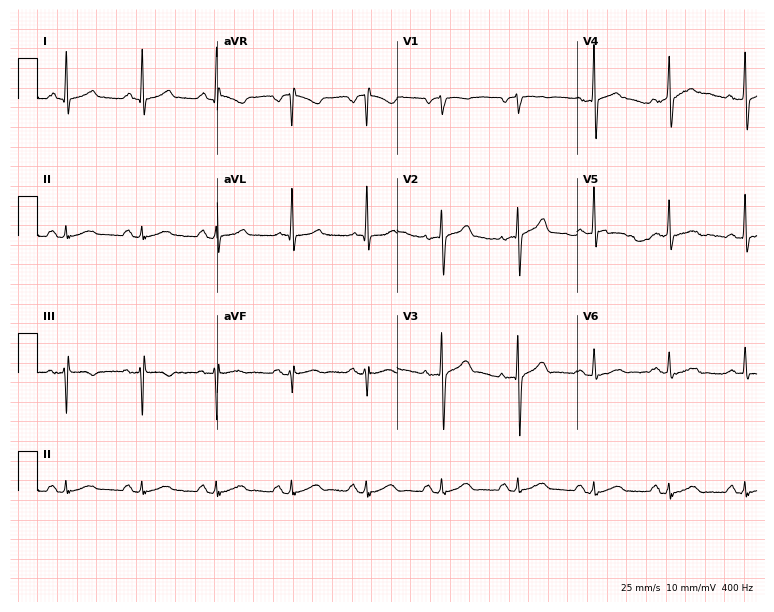
Resting 12-lead electrocardiogram (7.3-second recording at 400 Hz). Patient: a 54-year-old male. Read as a normal ECG.